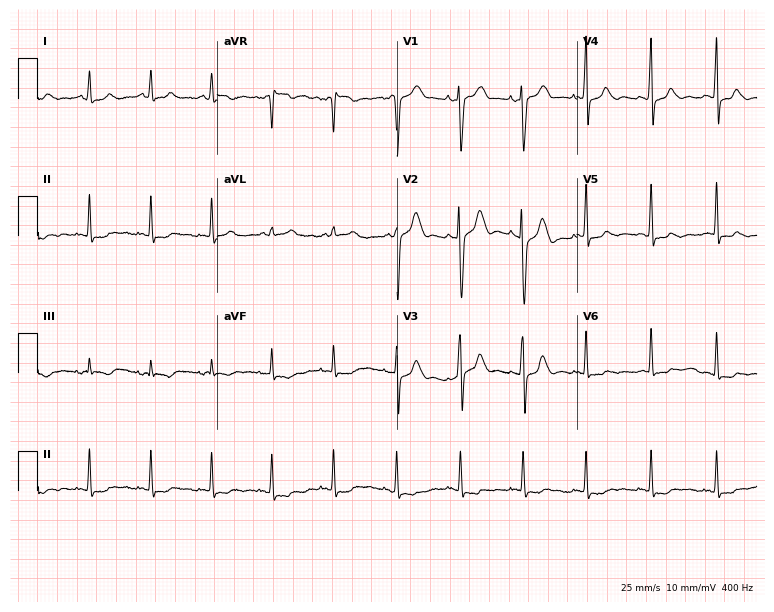
Standard 12-lead ECG recorded from a woman, 36 years old (7.3-second recording at 400 Hz). Read as a normal ECG.